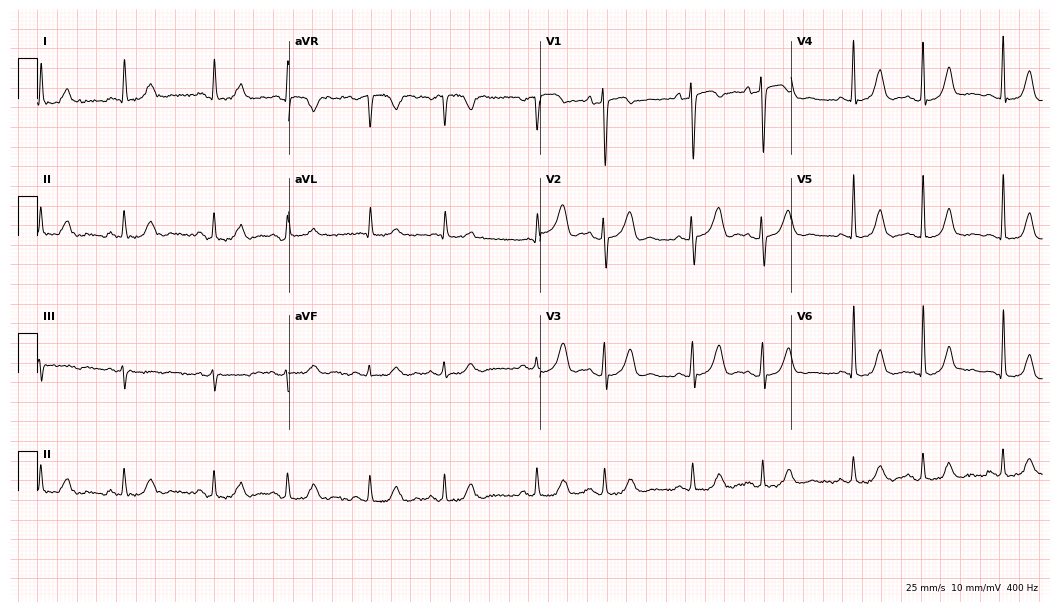
Resting 12-lead electrocardiogram (10.2-second recording at 400 Hz). Patient: a man, 85 years old. Read as a normal ECG.